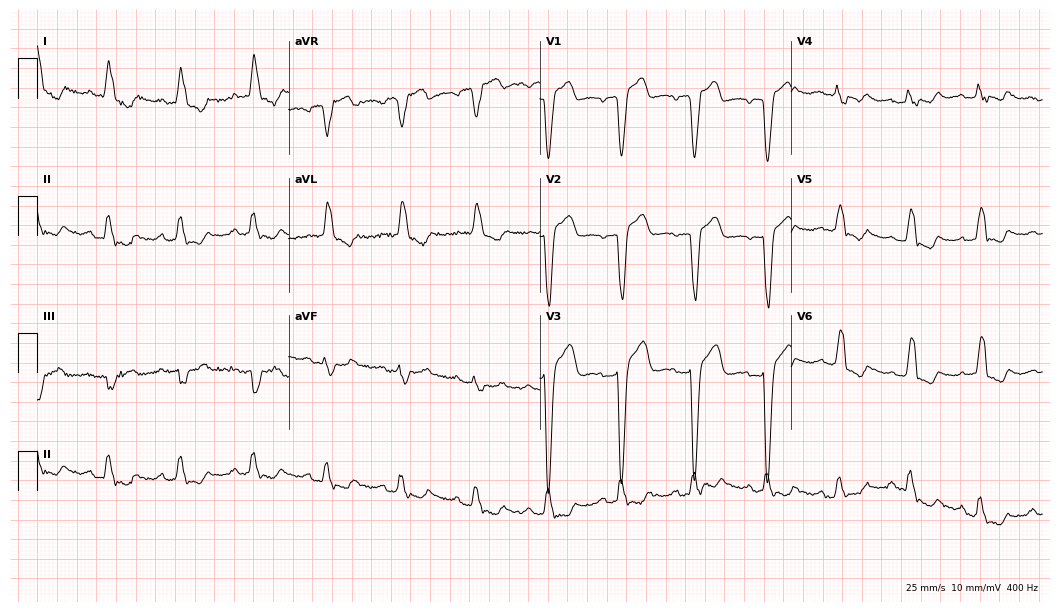
Electrocardiogram, a female patient, 76 years old. Interpretation includes left bundle branch block (LBBB).